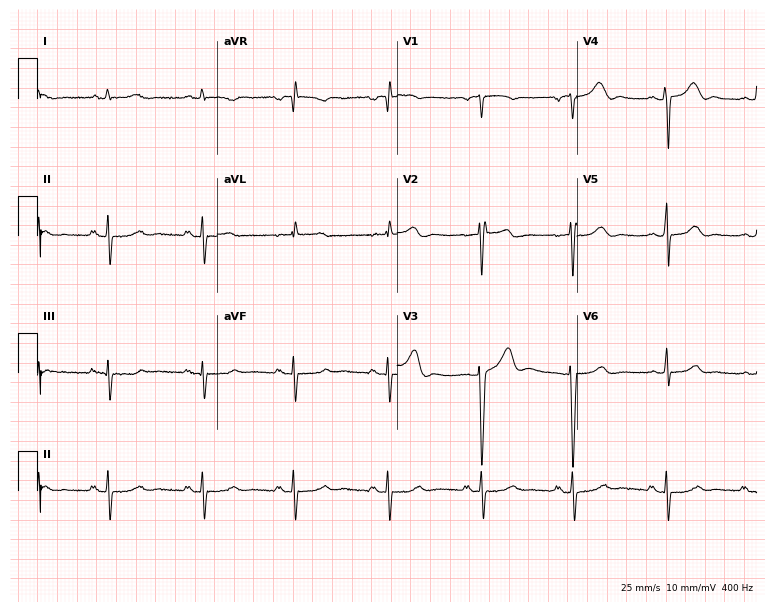
12-lead ECG from a male patient, 38 years old. No first-degree AV block, right bundle branch block, left bundle branch block, sinus bradycardia, atrial fibrillation or sinus tachycardia recorded for this tracing.